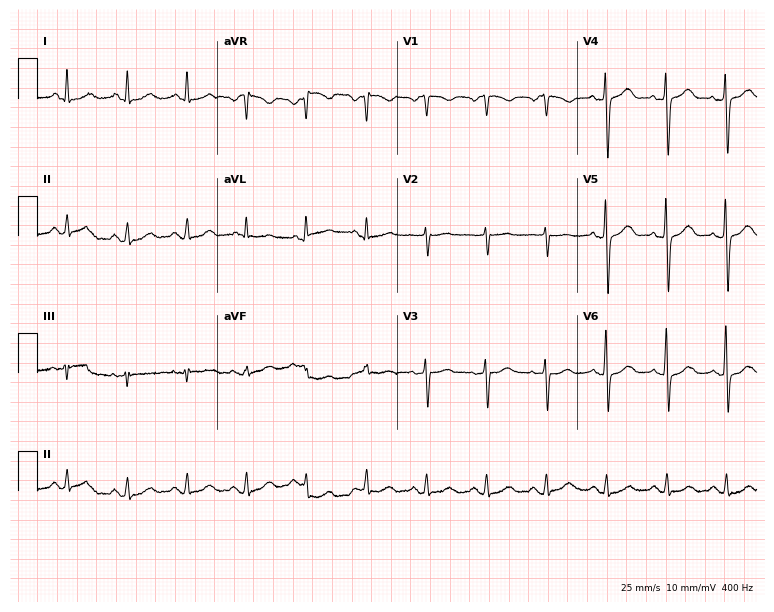
Standard 12-lead ECG recorded from a 40-year-old woman. None of these six findings is recorded: first-degree AV block, right bundle branch block, left bundle branch block, sinus bradycardia, atrial fibrillation, sinus tachycardia. Other findings, if any, are not listed.